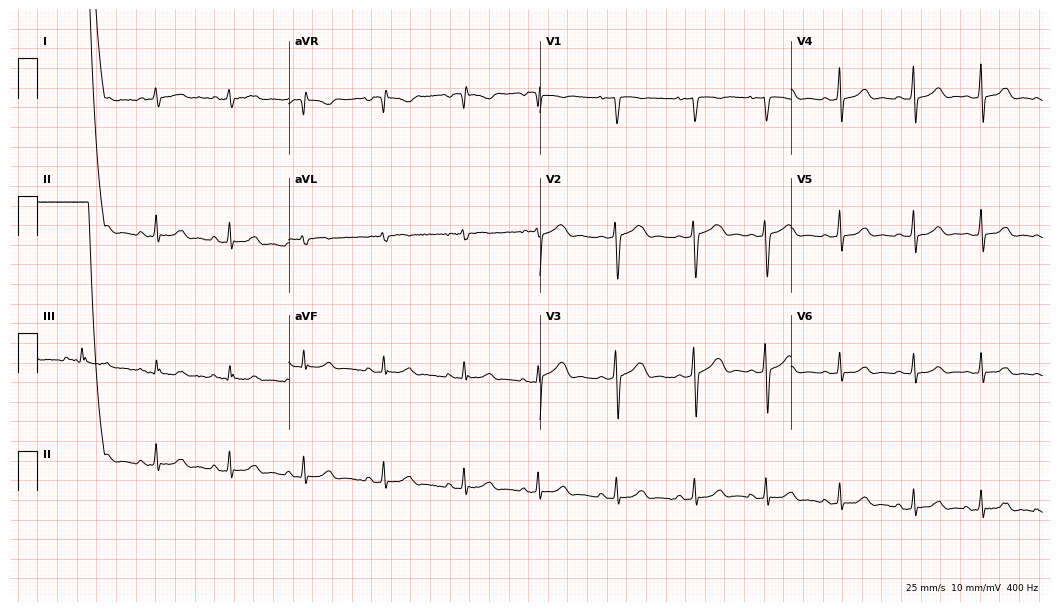
ECG (10.2-second recording at 400 Hz) — a female, 20 years old. Labelled as a normal ECG.